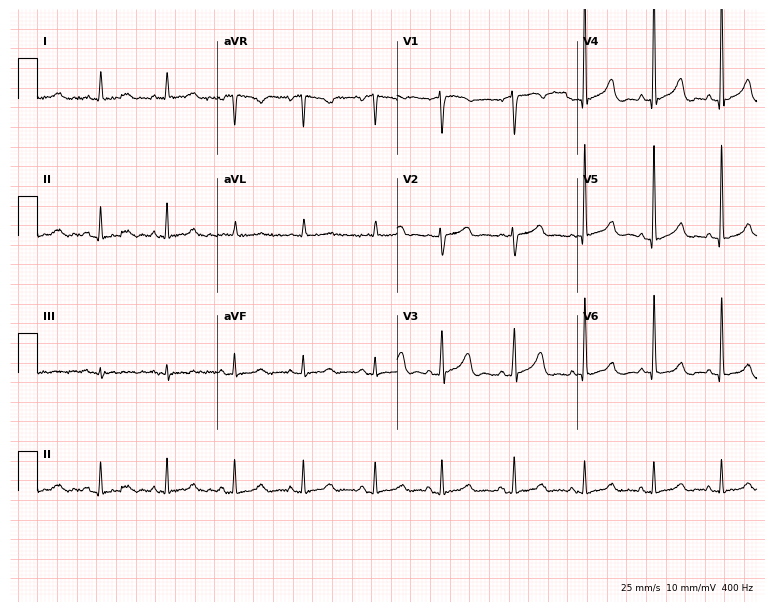
Resting 12-lead electrocardiogram (7.3-second recording at 400 Hz). Patient: an 83-year-old female. None of these six findings is recorded: first-degree AV block, right bundle branch block, left bundle branch block, sinus bradycardia, atrial fibrillation, sinus tachycardia.